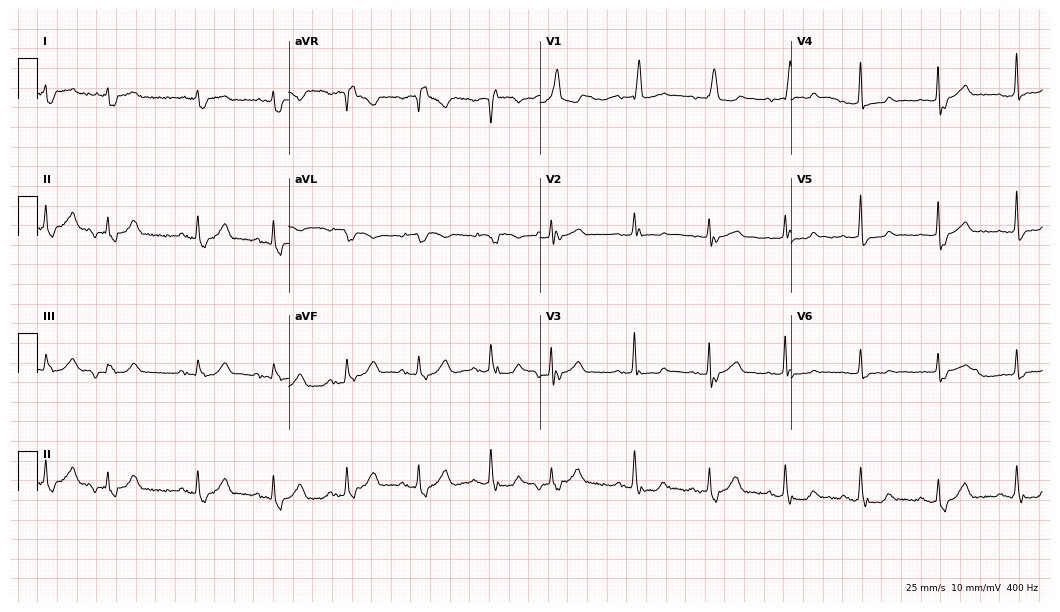
12-lead ECG from an 80-year-old male. Screened for six findings — first-degree AV block, right bundle branch block, left bundle branch block, sinus bradycardia, atrial fibrillation, sinus tachycardia — none is recorded.